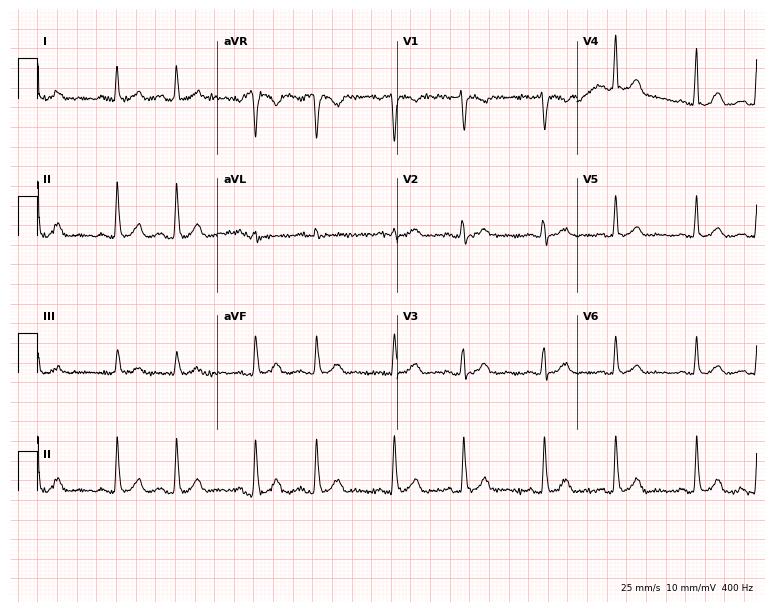
12-lead ECG from a 56-year-old woman. No first-degree AV block, right bundle branch block (RBBB), left bundle branch block (LBBB), sinus bradycardia, atrial fibrillation (AF) or sinus tachycardia recorded for this tracing.